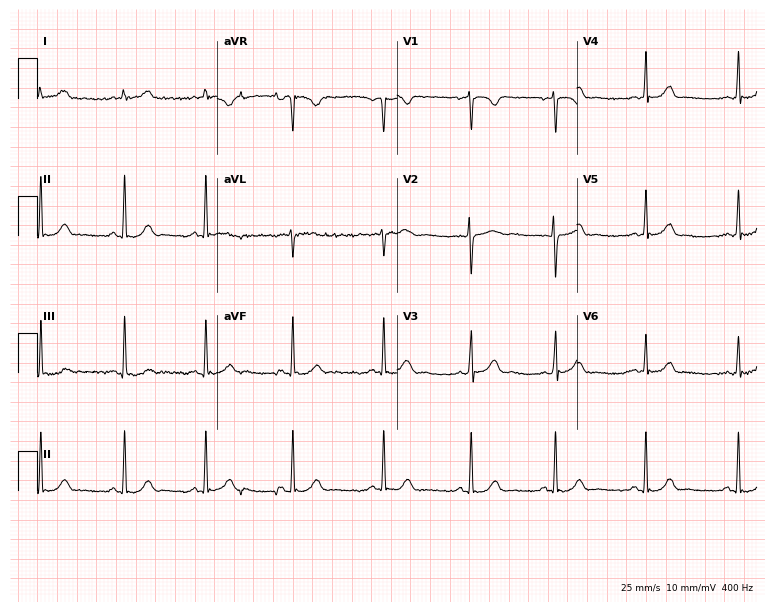
ECG (7.3-second recording at 400 Hz) — a 23-year-old woman. Labelled as a normal ECG.